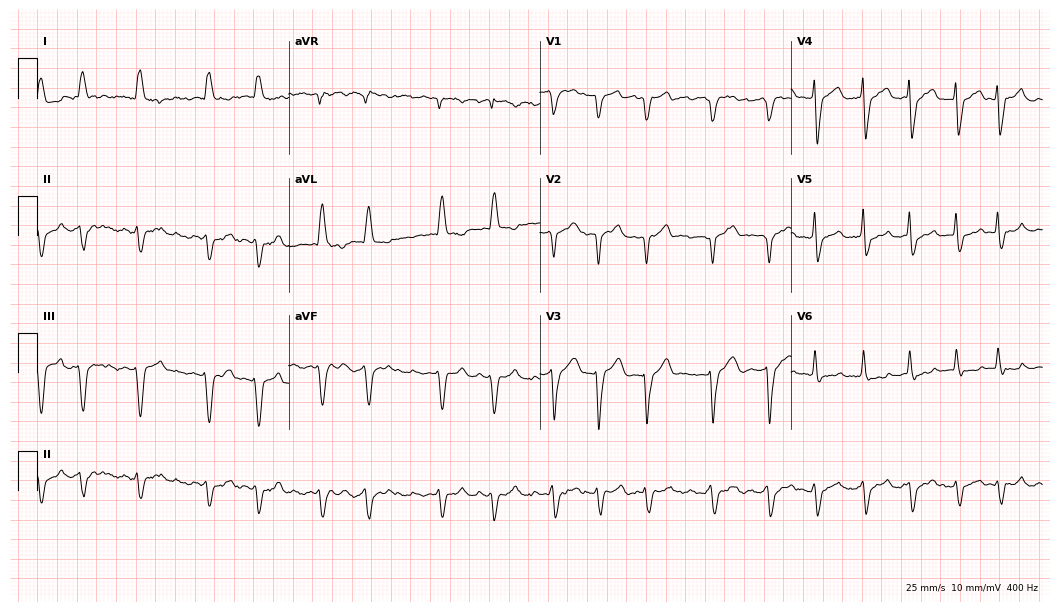
12-lead ECG from a male, 62 years old. Shows left bundle branch block, atrial fibrillation.